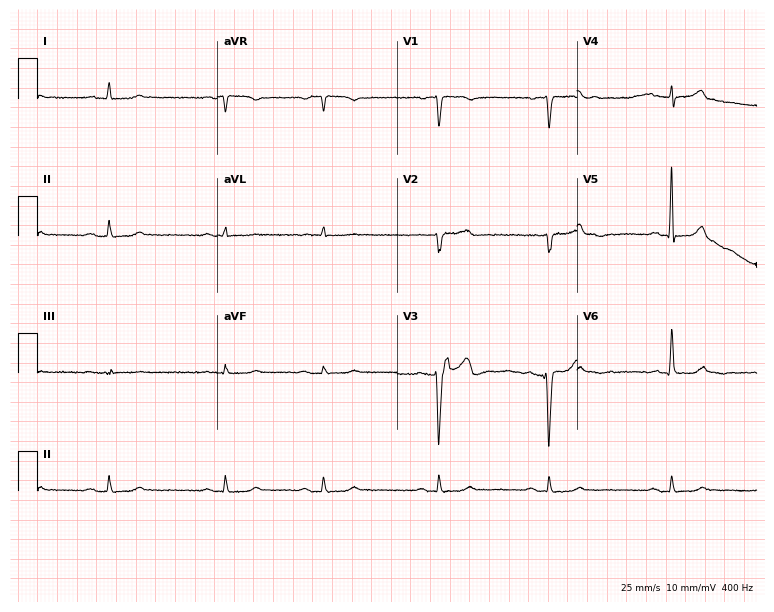
Standard 12-lead ECG recorded from a male patient, 73 years old (7.3-second recording at 400 Hz). None of these six findings is recorded: first-degree AV block, right bundle branch block, left bundle branch block, sinus bradycardia, atrial fibrillation, sinus tachycardia.